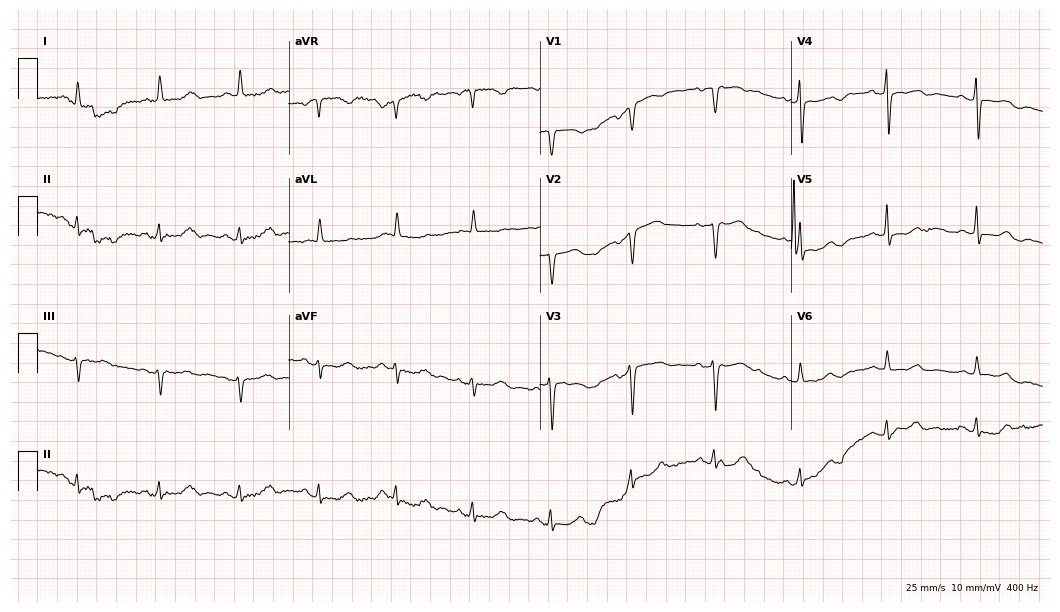
12-lead ECG from a 70-year-old woman (10.2-second recording at 400 Hz). No first-degree AV block, right bundle branch block, left bundle branch block, sinus bradycardia, atrial fibrillation or sinus tachycardia recorded for this tracing. Only these six findings were labelled.